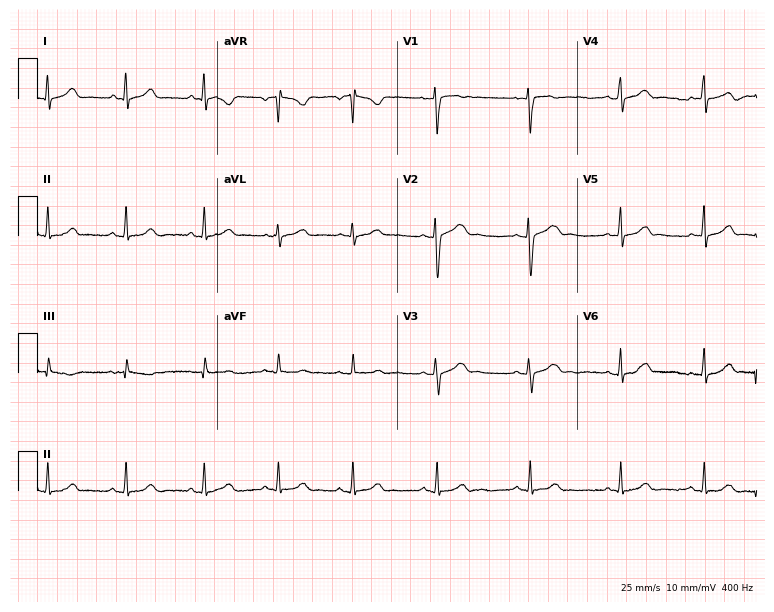
Electrocardiogram, a woman, 19 years old. Of the six screened findings (first-degree AV block, right bundle branch block, left bundle branch block, sinus bradycardia, atrial fibrillation, sinus tachycardia), none is recorded.